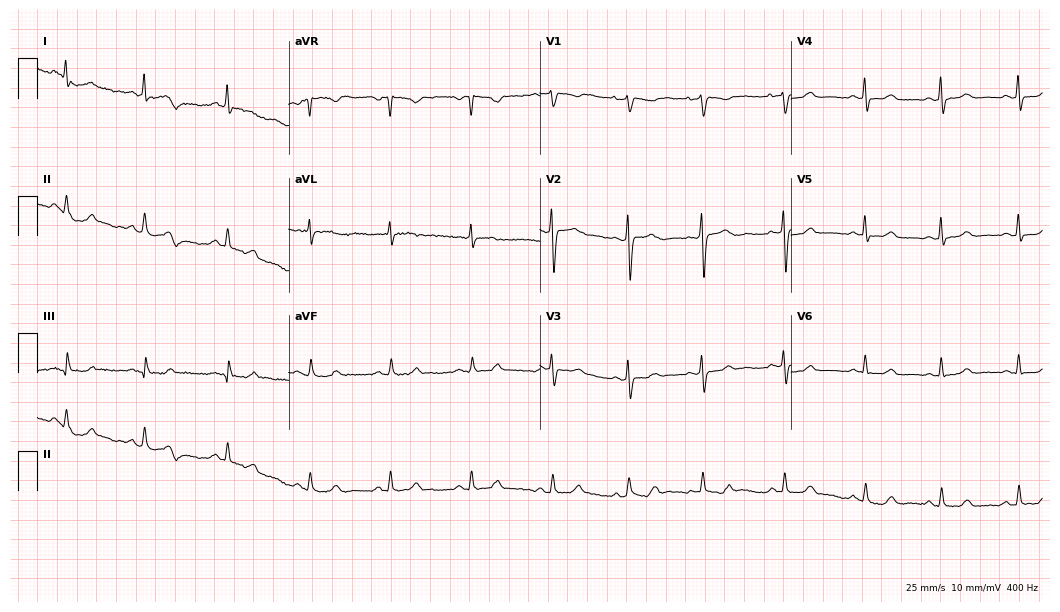
12-lead ECG from a 40-year-old woman. No first-degree AV block, right bundle branch block, left bundle branch block, sinus bradycardia, atrial fibrillation or sinus tachycardia recorded for this tracing. Other findings, if any, are not listed.